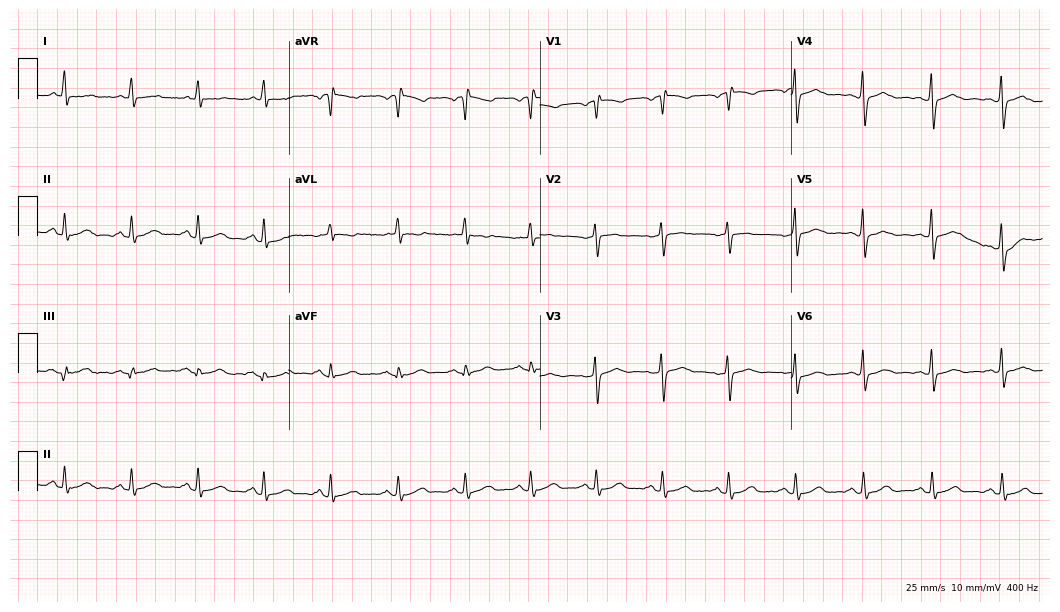
ECG (10.2-second recording at 400 Hz) — a female patient, 44 years old. Labelled as a normal ECG.